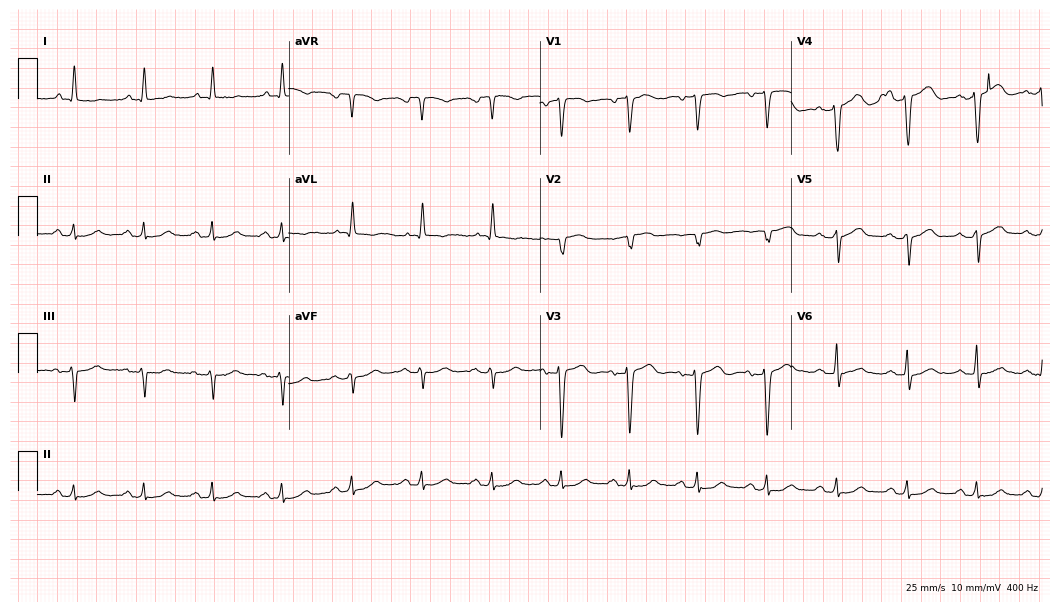
12-lead ECG from a 68-year-old male patient. Screened for six findings — first-degree AV block, right bundle branch block, left bundle branch block, sinus bradycardia, atrial fibrillation, sinus tachycardia — none is recorded. Other findings, if any, are not listed.